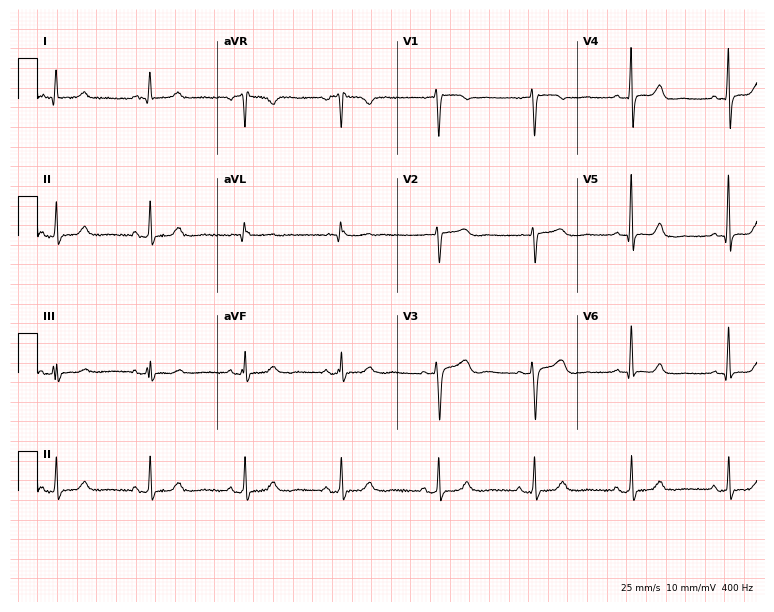
Electrocardiogram (7.3-second recording at 400 Hz), a 54-year-old woman. Overall reading on record: normal ECG.